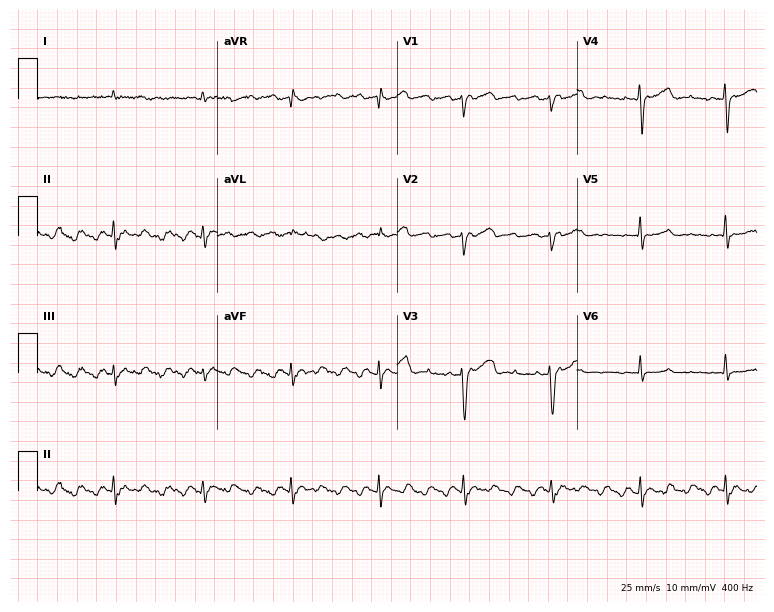
Resting 12-lead electrocardiogram. Patient: a 79-year-old man. None of these six findings is recorded: first-degree AV block, right bundle branch block, left bundle branch block, sinus bradycardia, atrial fibrillation, sinus tachycardia. Findings outside these six are not listed.